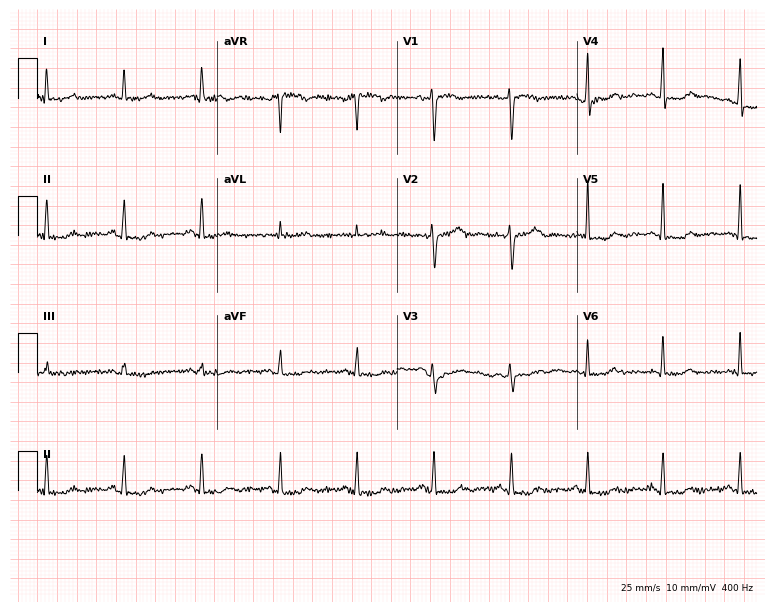
12-lead ECG from a 63-year-old female (7.3-second recording at 400 Hz). No first-degree AV block, right bundle branch block, left bundle branch block, sinus bradycardia, atrial fibrillation or sinus tachycardia recorded for this tracing. Only these six findings were labelled.